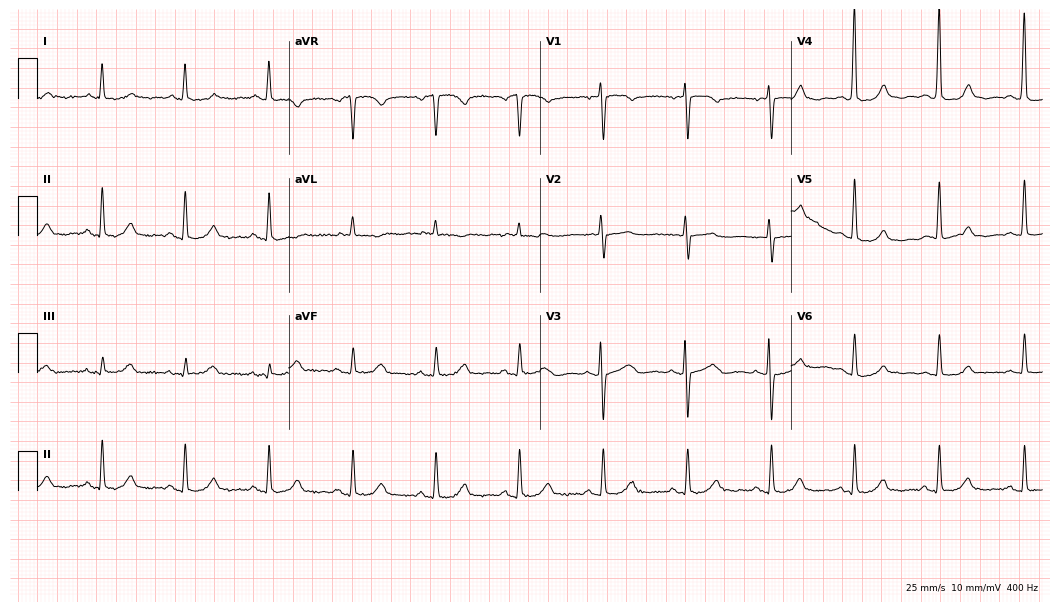
Resting 12-lead electrocardiogram (10.2-second recording at 400 Hz). Patient: a female, 63 years old. None of these six findings is recorded: first-degree AV block, right bundle branch block, left bundle branch block, sinus bradycardia, atrial fibrillation, sinus tachycardia.